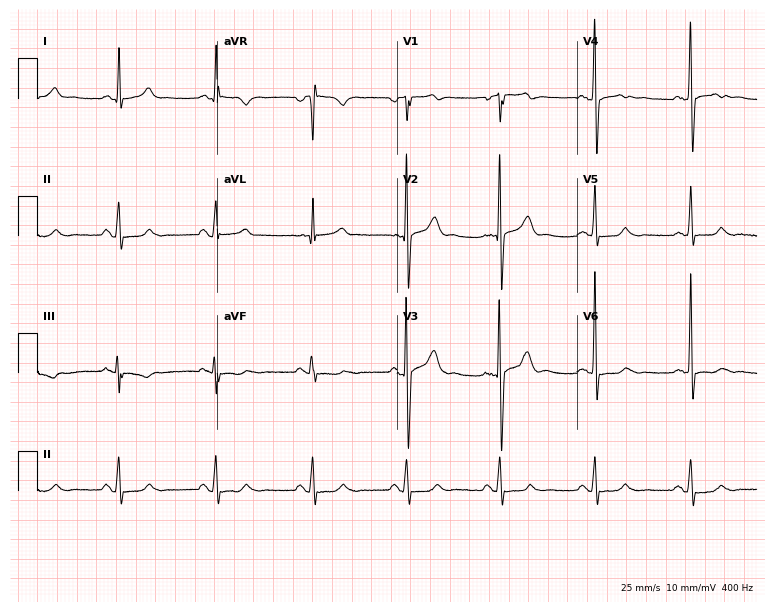
12-lead ECG from a male patient, 71 years old. No first-degree AV block, right bundle branch block, left bundle branch block, sinus bradycardia, atrial fibrillation or sinus tachycardia recorded for this tracing. Only these six findings were labelled.